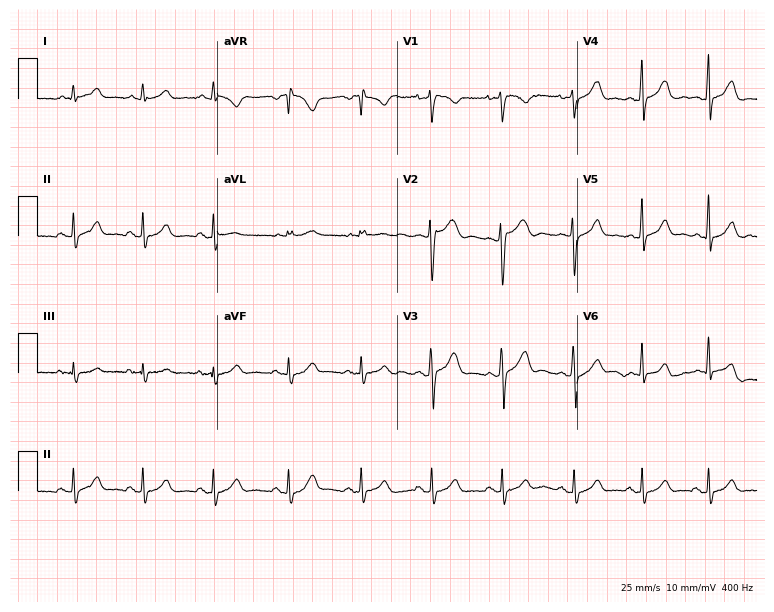
Resting 12-lead electrocardiogram. Patient: a man, 25 years old. None of these six findings is recorded: first-degree AV block, right bundle branch block, left bundle branch block, sinus bradycardia, atrial fibrillation, sinus tachycardia. Only these six findings were labelled.